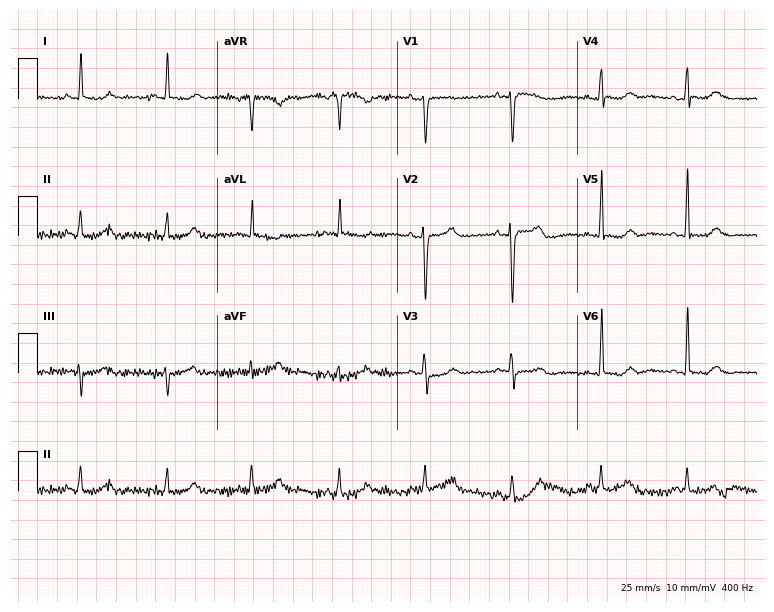
Resting 12-lead electrocardiogram (7.3-second recording at 400 Hz). Patient: a 39-year-old female. Read as a normal ECG.